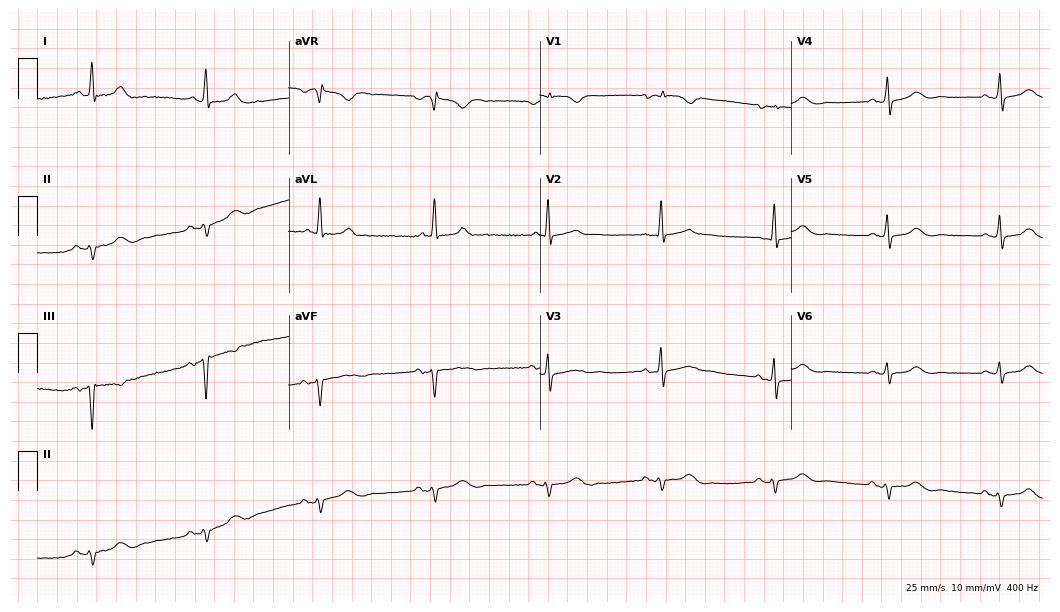
Standard 12-lead ECG recorded from a woman, 78 years old (10.2-second recording at 400 Hz). None of these six findings is recorded: first-degree AV block, right bundle branch block, left bundle branch block, sinus bradycardia, atrial fibrillation, sinus tachycardia. Findings outside these six are not listed.